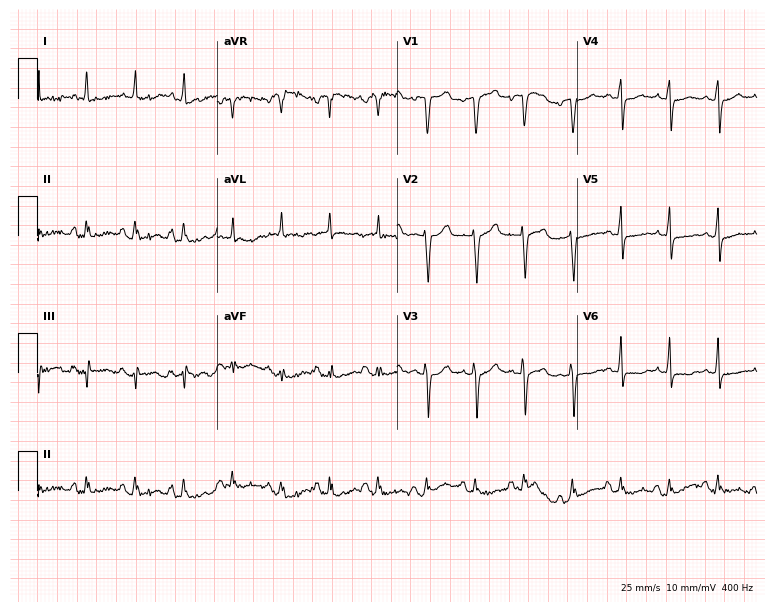
Resting 12-lead electrocardiogram. Patient: a 67-year-old woman. The tracing shows sinus tachycardia (a sinus rate of 100 beats per minute or more).